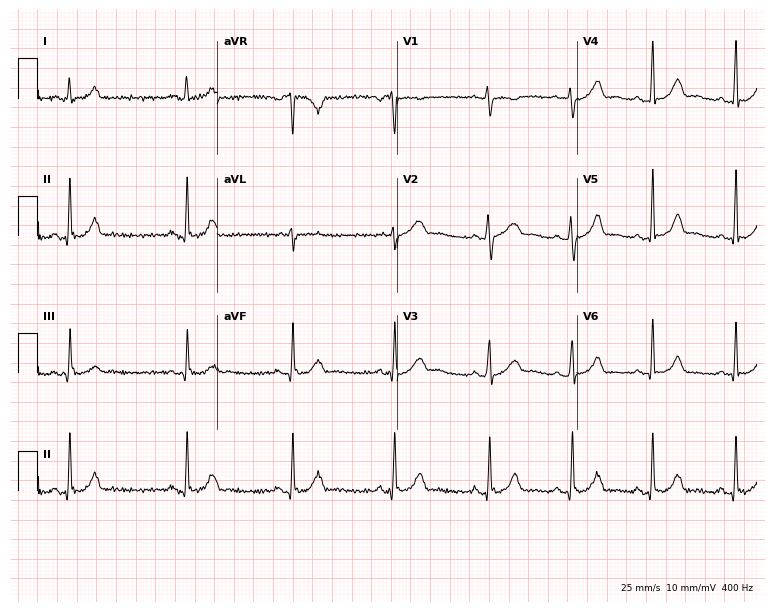
12-lead ECG from a 27-year-old woman (7.3-second recording at 400 Hz). Recorded interpretation: within normal limits.